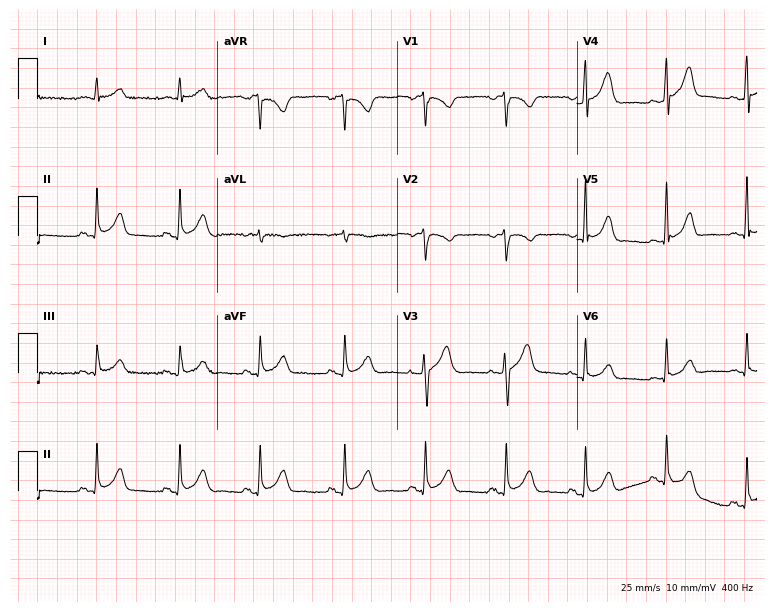
Standard 12-lead ECG recorded from a 53-year-old female patient (7.3-second recording at 400 Hz). Read as a normal ECG.